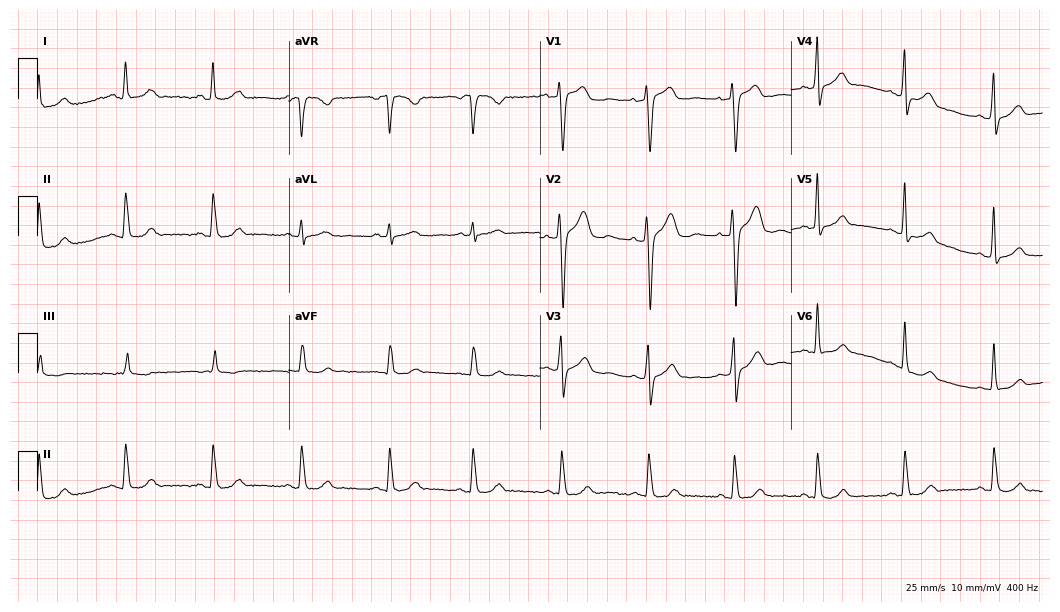
Standard 12-lead ECG recorded from a 39-year-old female patient (10.2-second recording at 400 Hz). Read as a normal ECG.